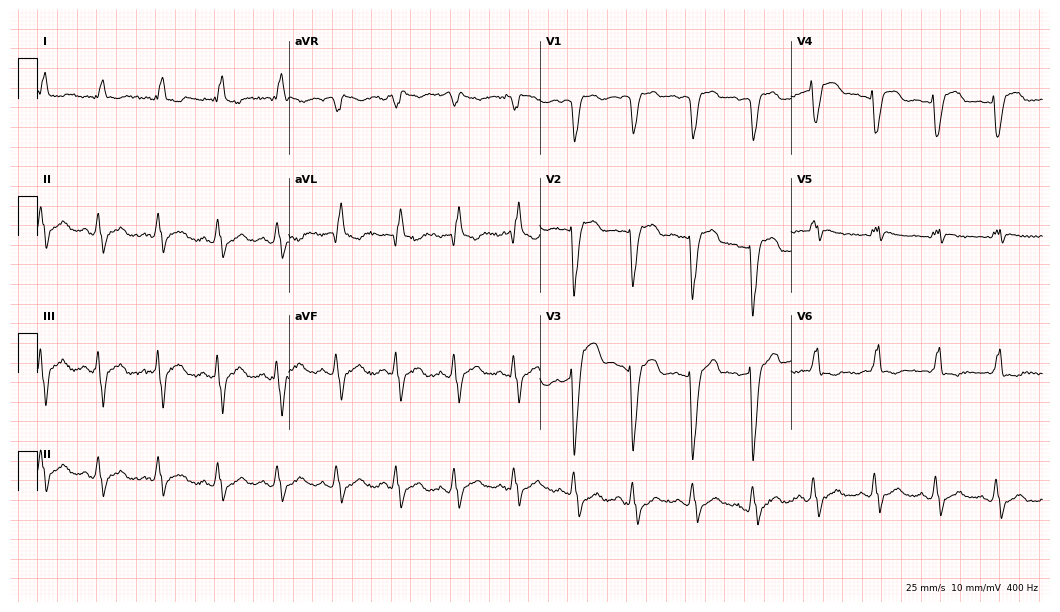
Standard 12-lead ECG recorded from a woman, 66 years old. The tracing shows left bundle branch block (LBBB).